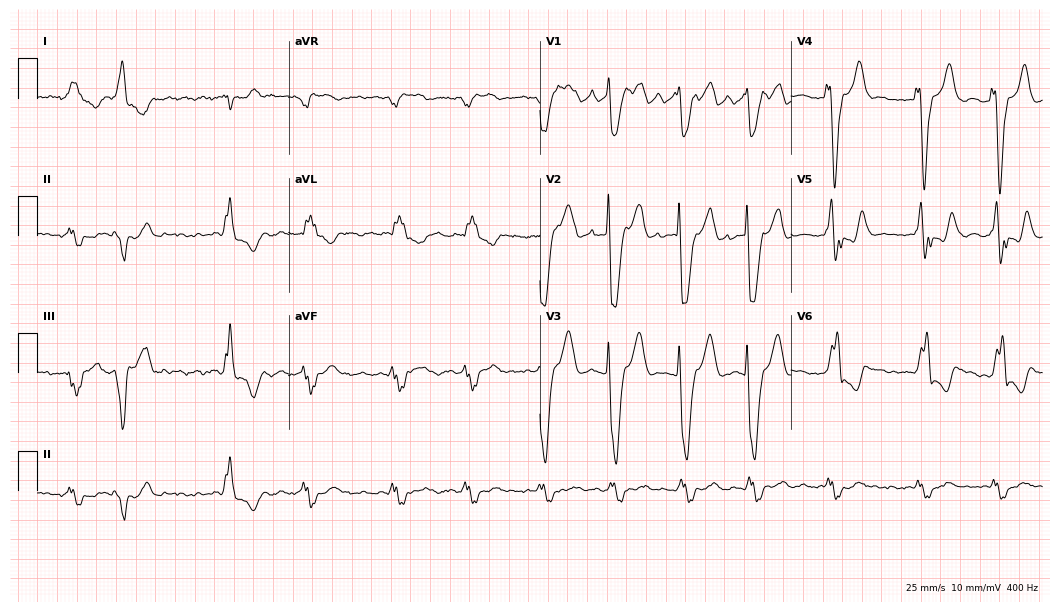
Resting 12-lead electrocardiogram (10.2-second recording at 400 Hz). Patient: a 53-year-old female. The tracing shows left bundle branch block, atrial fibrillation.